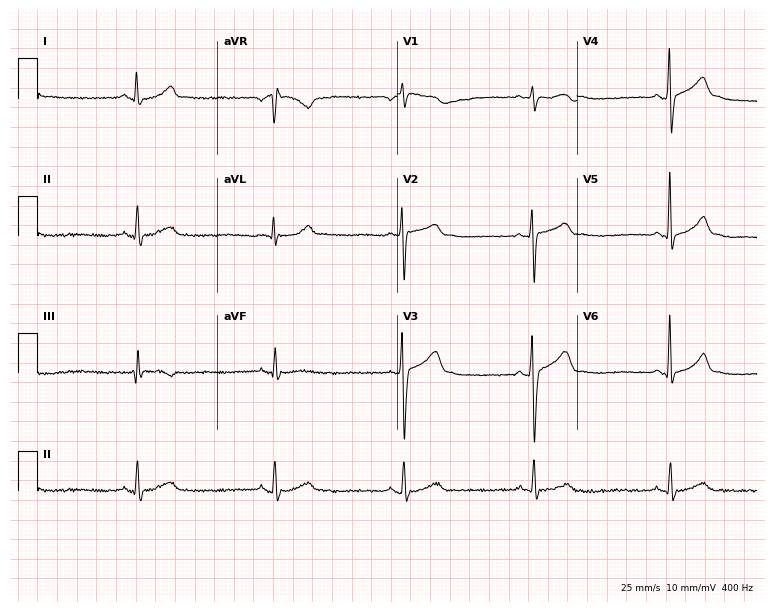
ECG — a 33-year-old female. Screened for six findings — first-degree AV block, right bundle branch block, left bundle branch block, sinus bradycardia, atrial fibrillation, sinus tachycardia — none is recorded.